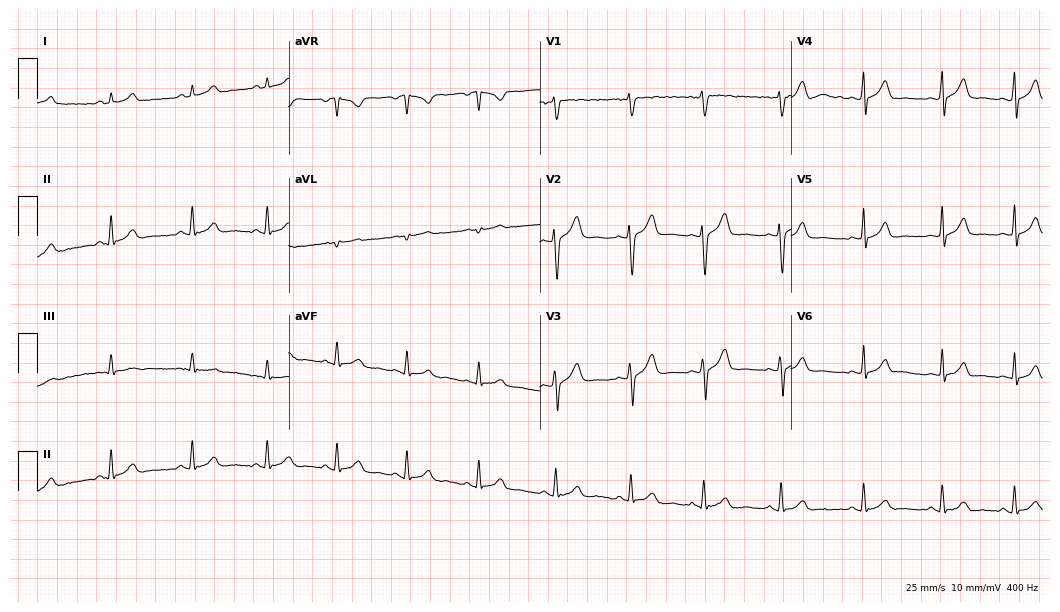
Electrocardiogram, a female patient, 29 years old. Overall reading on record: normal ECG.